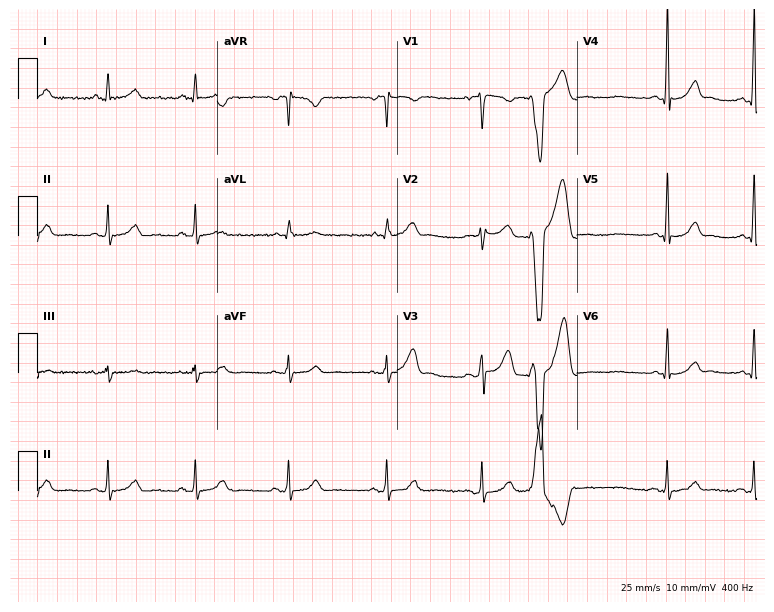
12-lead ECG from a 46-year-old male patient (7.3-second recording at 400 Hz). No first-degree AV block, right bundle branch block, left bundle branch block, sinus bradycardia, atrial fibrillation or sinus tachycardia recorded for this tracing. Other findings, if any, are not listed.